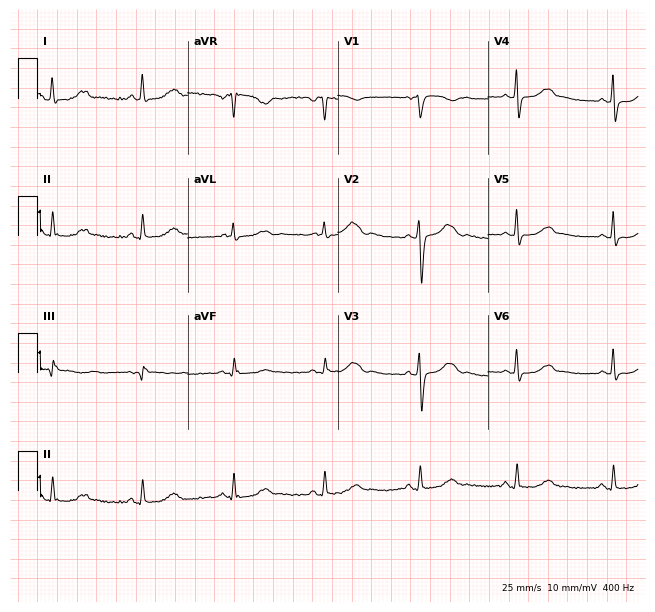
12-lead ECG (6.1-second recording at 400 Hz) from a 38-year-old female patient. Screened for six findings — first-degree AV block, right bundle branch block, left bundle branch block, sinus bradycardia, atrial fibrillation, sinus tachycardia — none is recorded. Other findings, if any, are not listed.